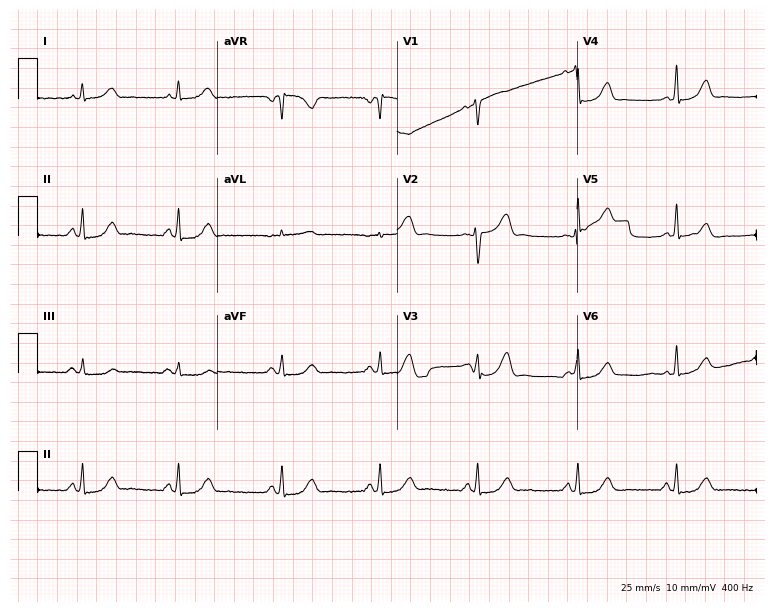
Standard 12-lead ECG recorded from a woman, 45 years old (7.3-second recording at 400 Hz). None of these six findings is recorded: first-degree AV block, right bundle branch block, left bundle branch block, sinus bradycardia, atrial fibrillation, sinus tachycardia. Other findings, if any, are not listed.